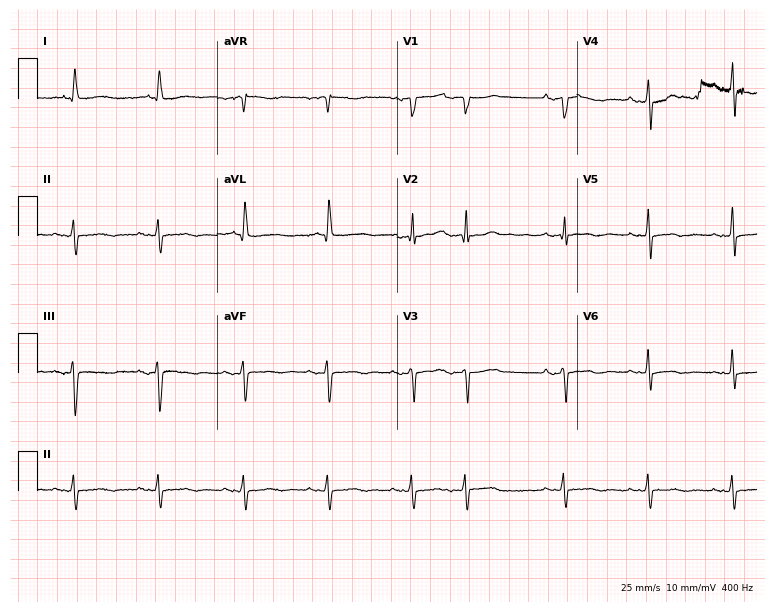
Electrocardiogram, a male, 84 years old. Of the six screened findings (first-degree AV block, right bundle branch block (RBBB), left bundle branch block (LBBB), sinus bradycardia, atrial fibrillation (AF), sinus tachycardia), none is recorded.